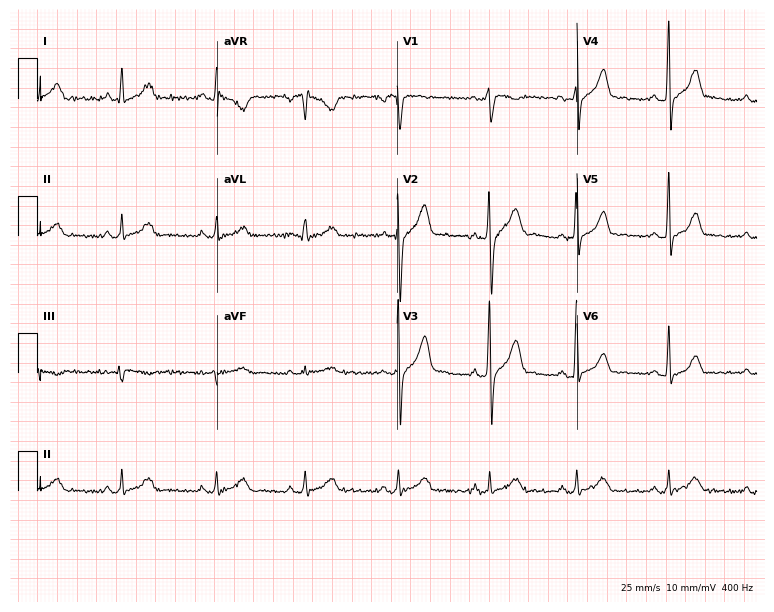
Standard 12-lead ECG recorded from a man, 31 years old. None of these six findings is recorded: first-degree AV block, right bundle branch block (RBBB), left bundle branch block (LBBB), sinus bradycardia, atrial fibrillation (AF), sinus tachycardia. Other findings, if any, are not listed.